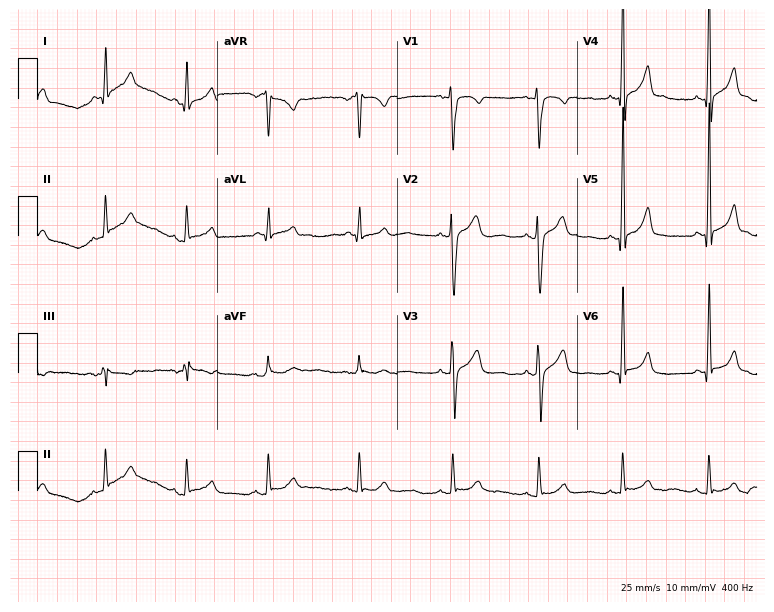
12-lead ECG from a 32-year-old man. Screened for six findings — first-degree AV block, right bundle branch block (RBBB), left bundle branch block (LBBB), sinus bradycardia, atrial fibrillation (AF), sinus tachycardia — none is recorded.